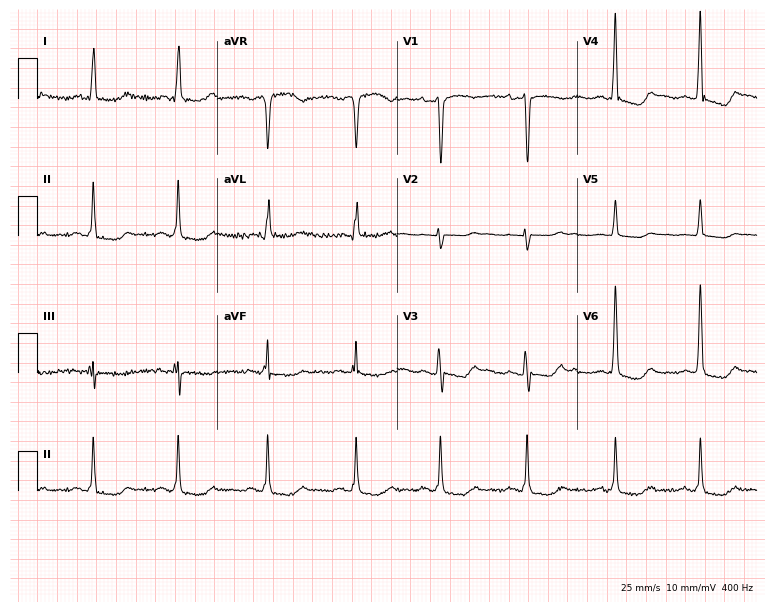
Resting 12-lead electrocardiogram (7.3-second recording at 400 Hz). Patient: a female, 45 years old. None of these six findings is recorded: first-degree AV block, right bundle branch block (RBBB), left bundle branch block (LBBB), sinus bradycardia, atrial fibrillation (AF), sinus tachycardia.